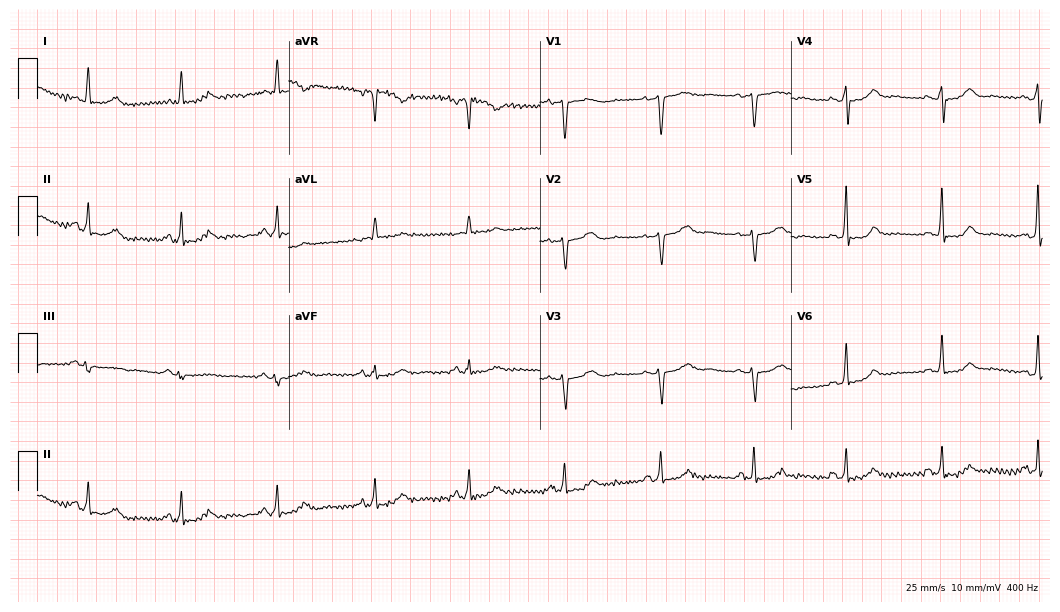
ECG (10.2-second recording at 400 Hz) — a female patient, 63 years old. Screened for six findings — first-degree AV block, right bundle branch block, left bundle branch block, sinus bradycardia, atrial fibrillation, sinus tachycardia — none is recorded.